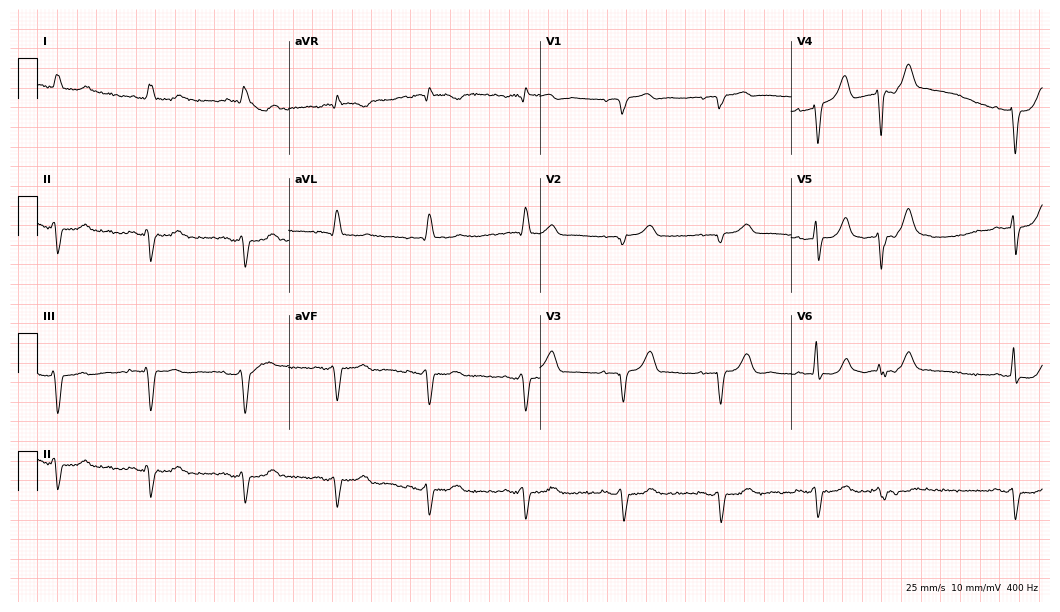
Resting 12-lead electrocardiogram (10.2-second recording at 400 Hz). Patient: a 75-year-old male. None of these six findings is recorded: first-degree AV block, right bundle branch block, left bundle branch block, sinus bradycardia, atrial fibrillation, sinus tachycardia. Findings outside these six are not listed.